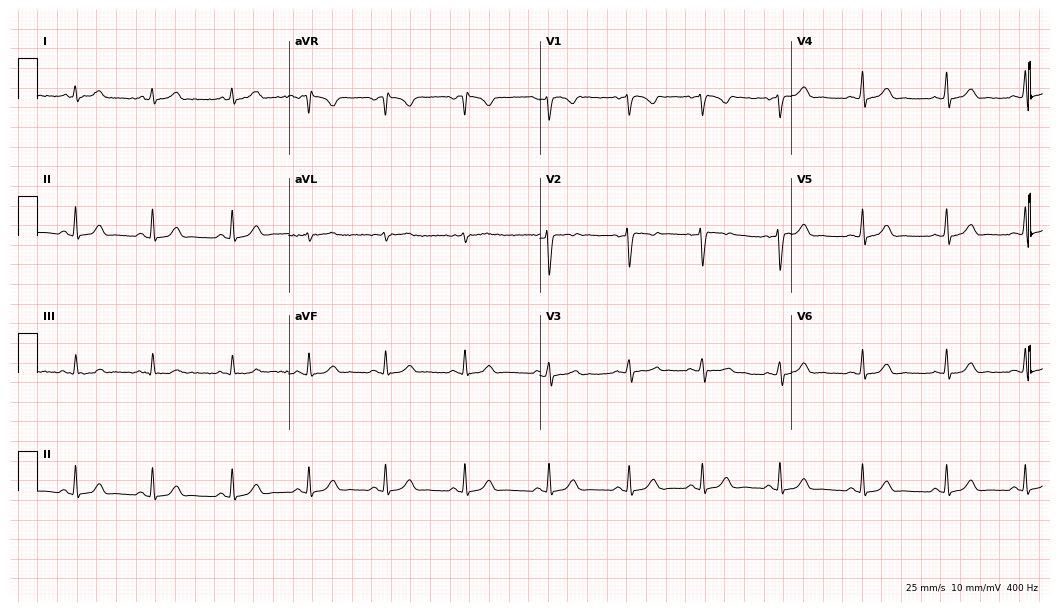
Resting 12-lead electrocardiogram (10.2-second recording at 400 Hz). Patient: a woman, 25 years old. Read as a normal ECG.